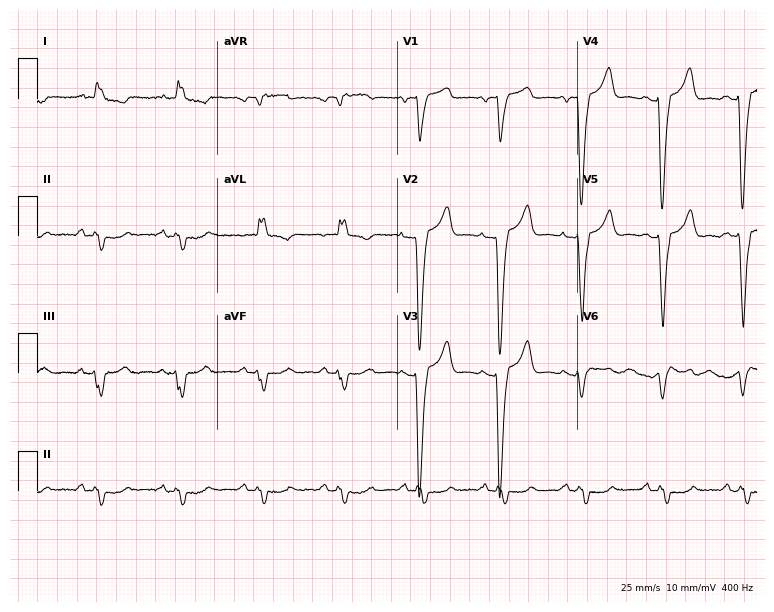
ECG — a female, 62 years old. Screened for six findings — first-degree AV block, right bundle branch block (RBBB), left bundle branch block (LBBB), sinus bradycardia, atrial fibrillation (AF), sinus tachycardia — none is recorded. Findings outside these six are not listed.